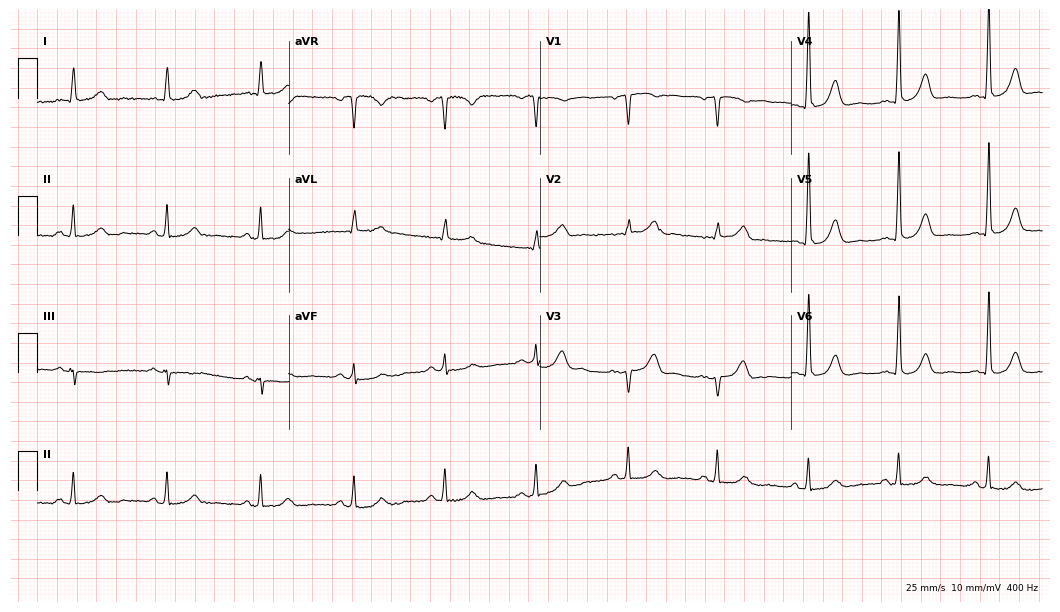
ECG — a 73-year-old male. Labelled as a normal ECG.